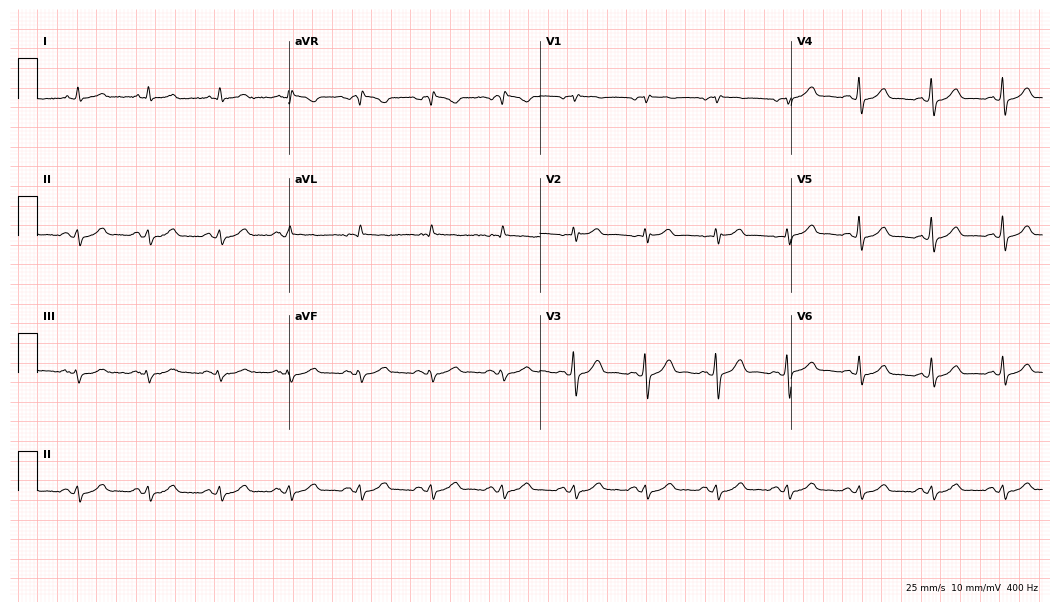
12-lead ECG from a male patient, 84 years old. Recorded interpretation: within normal limits.